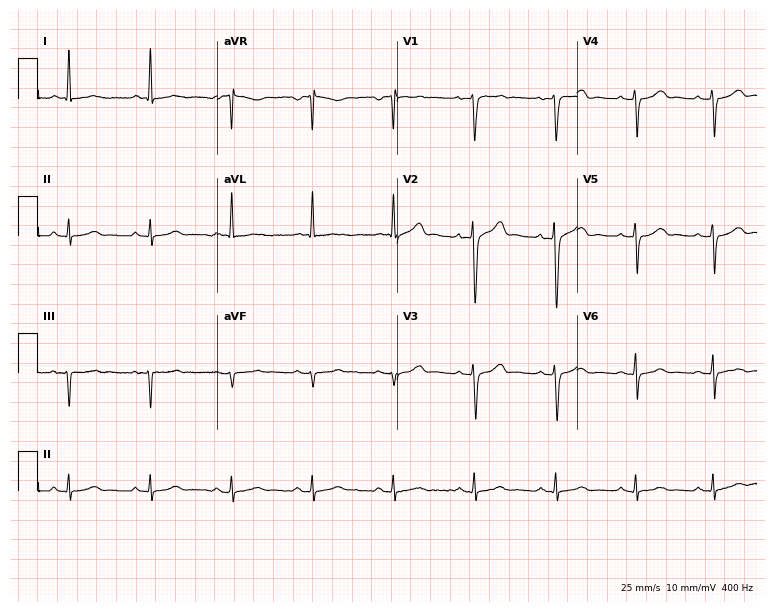
12-lead ECG (7.3-second recording at 400 Hz) from a woman, 59 years old. Screened for six findings — first-degree AV block, right bundle branch block, left bundle branch block, sinus bradycardia, atrial fibrillation, sinus tachycardia — none is recorded.